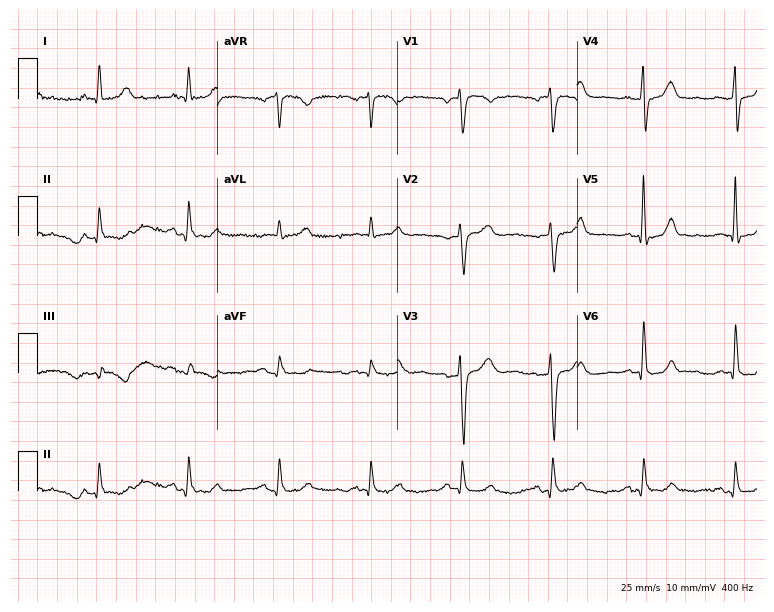
Standard 12-lead ECG recorded from a woman, 74 years old (7.3-second recording at 400 Hz). None of these six findings is recorded: first-degree AV block, right bundle branch block, left bundle branch block, sinus bradycardia, atrial fibrillation, sinus tachycardia.